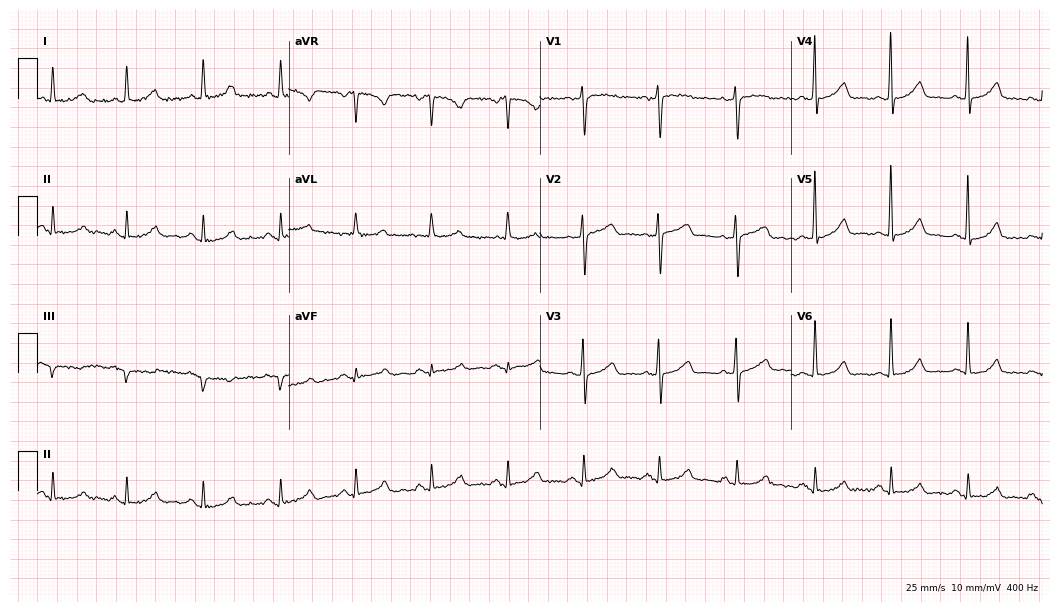
Electrocardiogram (10.2-second recording at 400 Hz), a female, 69 years old. Of the six screened findings (first-degree AV block, right bundle branch block, left bundle branch block, sinus bradycardia, atrial fibrillation, sinus tachycardia), none is recorded.